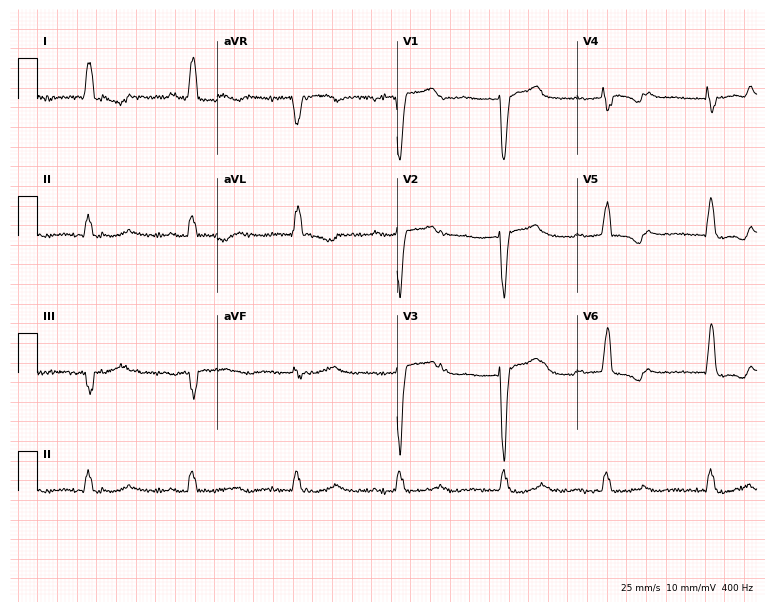
ECG — a female patient, 69 years old. Screened for six findings — first-degree AV block, right bundle branch block (RBBB), left bundle branch block (LBBB), sinus bradycardia, atrial fibrillation (AF), sinus tachycardia — none is recorded.